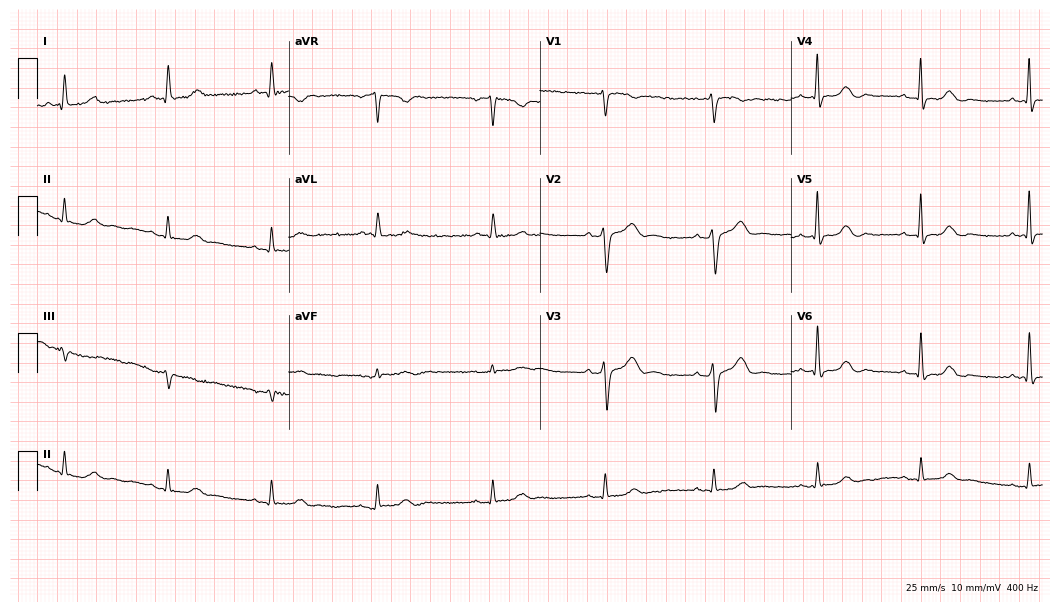
Standard 12-lead ECG recorded from a male patient, 59 years old (10.2-second recording at 400 Hz). Read as a normal ECG.